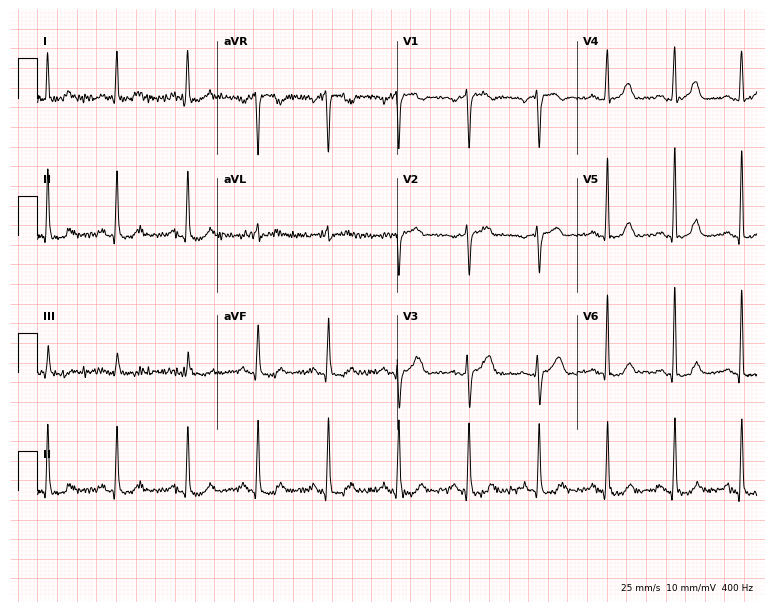
ECG — a female patient, 67 years old. Labelled as a normal ECG.